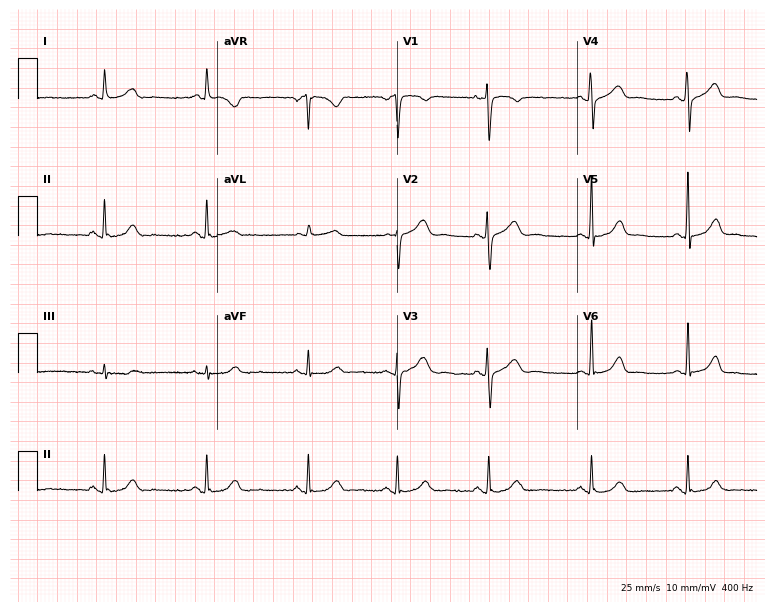
Electrocardiogram, a female, 34 years old. Overall reading on record: normal ECG.